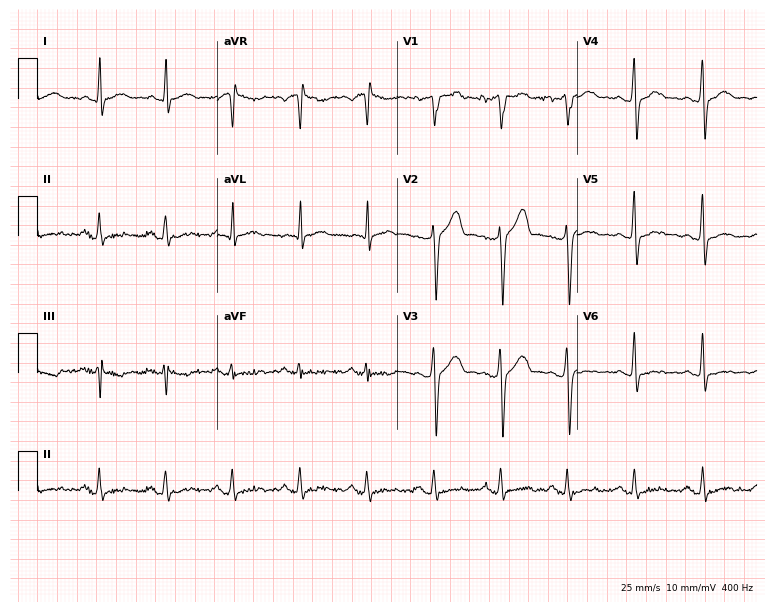
12-lead ECG from a 30-year-old male patient (7.3-second recording at 400 Hz). No first-degree AV block, right bundle branch block, left bundle branch block, sinus bradycardia, atrial fibrillation or sinus tachycardia recorded for this tracing.